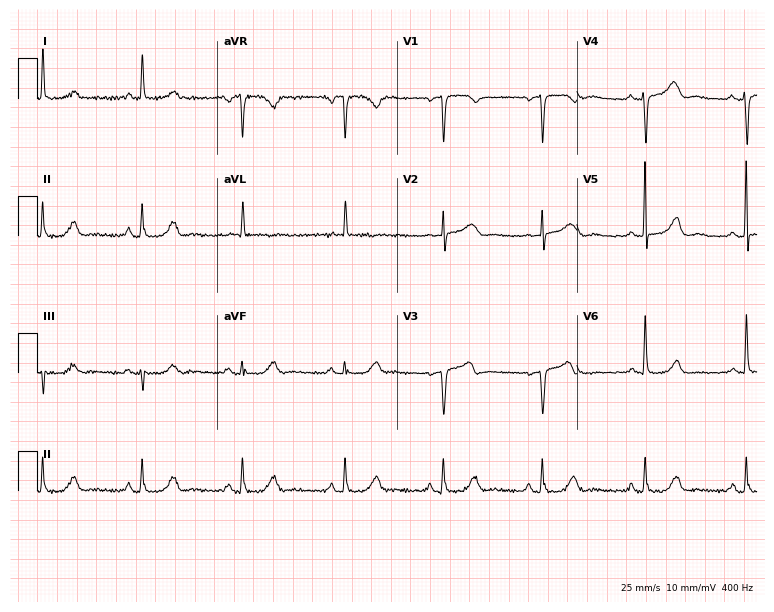
ECG — a female, 73 years old. Screened for six findings — first-degree AV block, right bundle branch block, left bundle branch block, sinus bradycardia, atrial fibrillation, sinus tachycardia — none is recorded. Other findings, if any, are not listed.